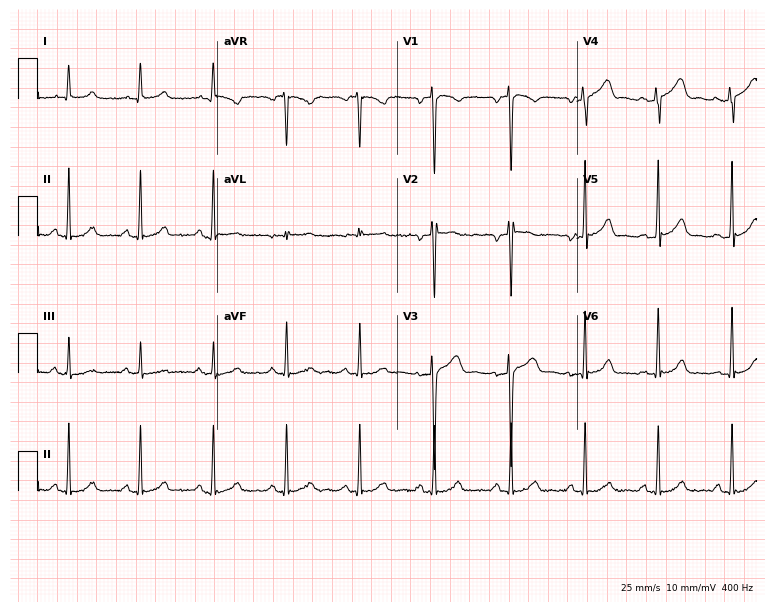
Electrocardiogram, a male, 34 years old. Of the six screened findings (first-degree AV block, right bundle branch block, left bundle branch block, sinus bradycardia, atrial fibrillation, sinus tachycardia), none is recorded.